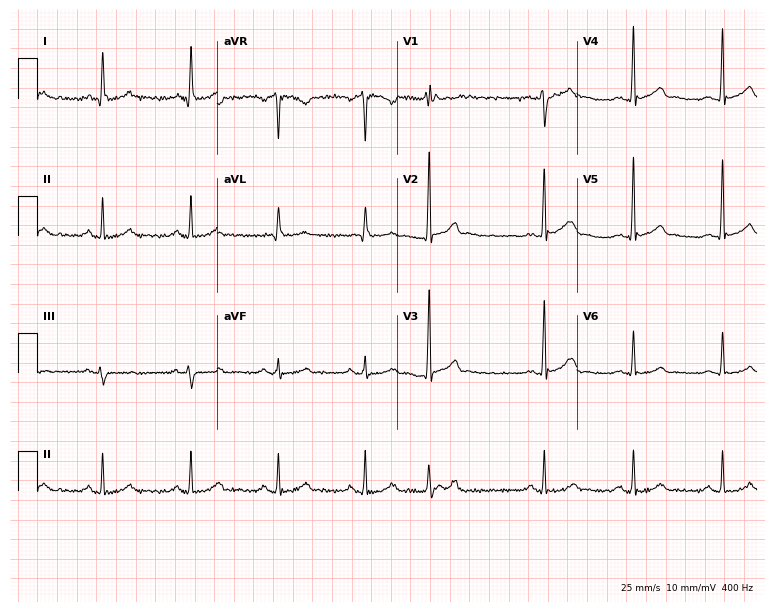
Electrocardiogram (7.3-second recording at 400 Hz), a 42-year-old male patient. Overall reading on record: normal ECG.